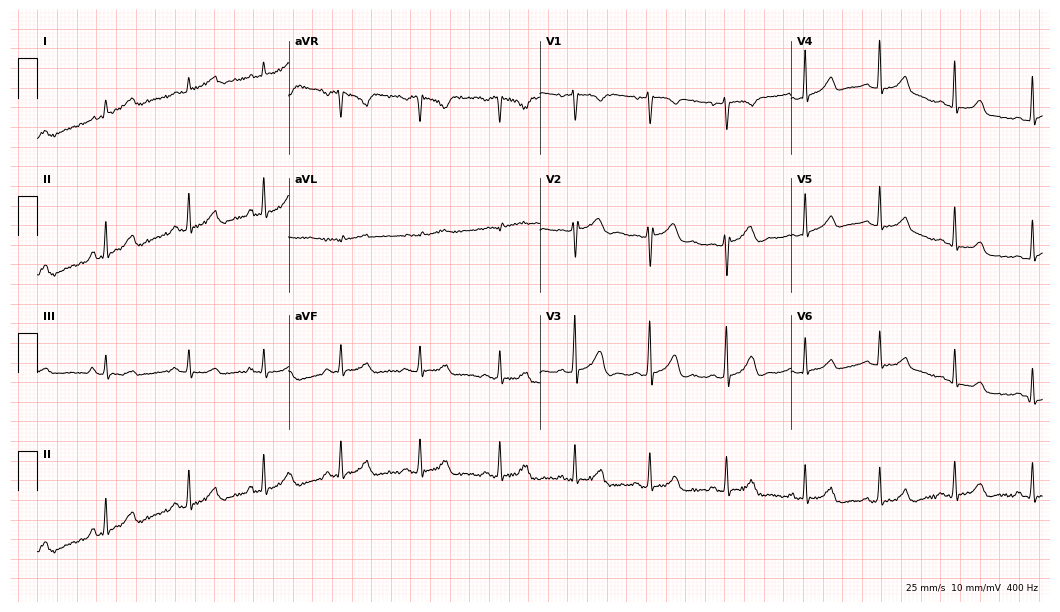
Standard 12-lead ECG recorded from a 38-year-old female patient. Read as a normal ECG.